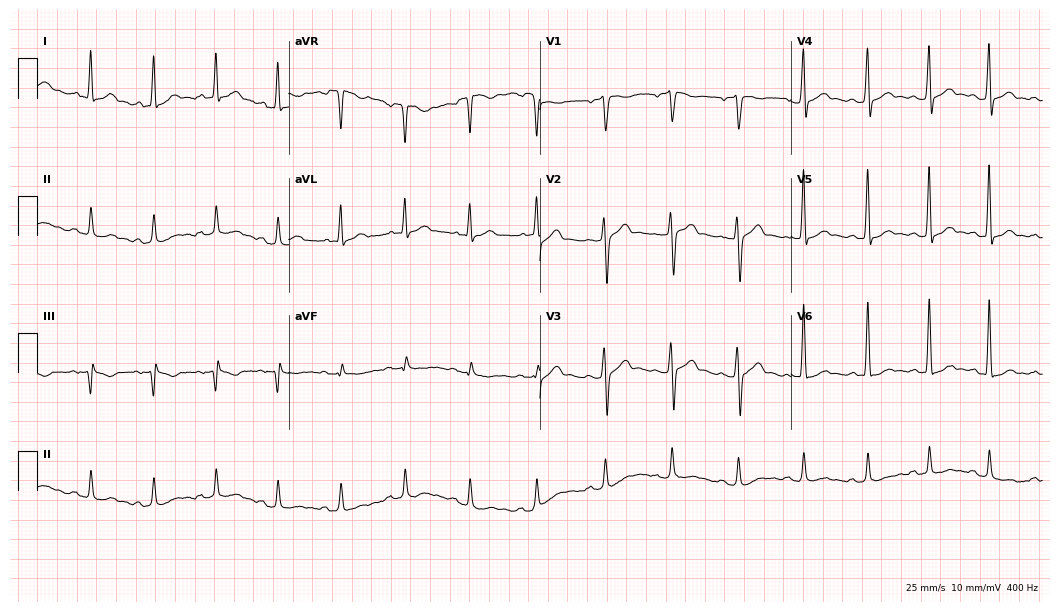
12-lead ECG from a 34-year-old male (10.2-second recording at 400 Hz). Recorded interpretation: within normal limits.